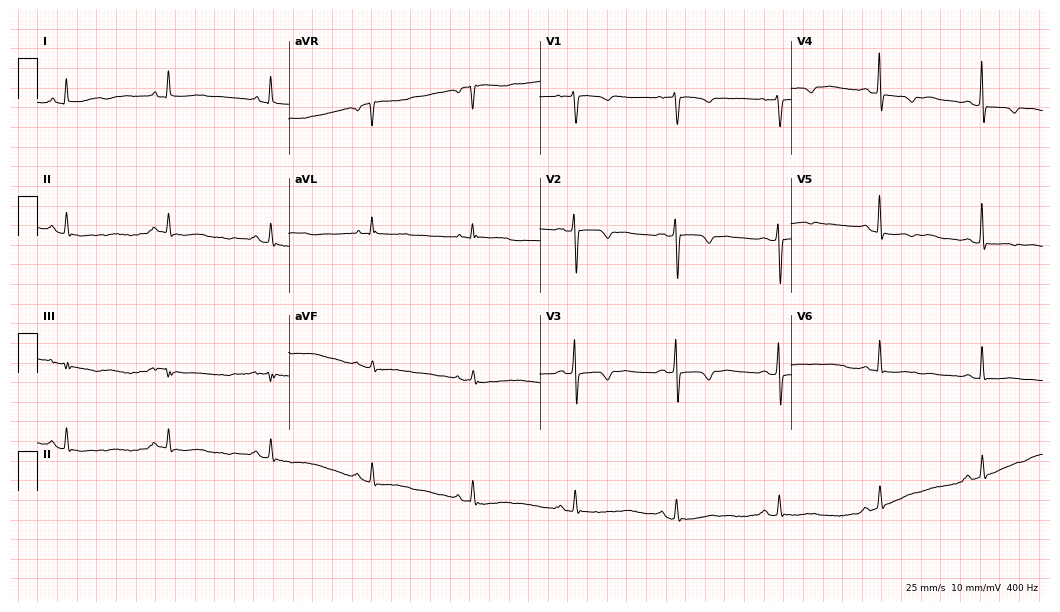
Resting 12-lead electrocardiogram (10.2-second recording at 400 Hz). Patient: a woman, 77 years old. None of these six findings is recorded: first-degree AV block, right bundle branch block, left bundle branch block, sinus bradycardia, atrial fibrillation, sinus tachycardia. Findings outside these six are not listed.